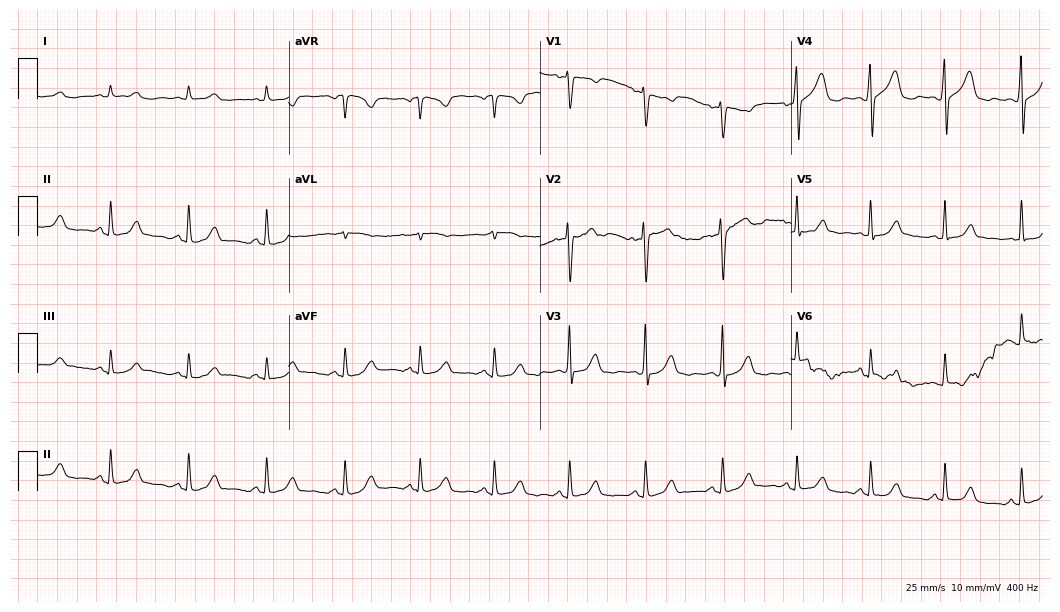
Resting 12-lead electrocardiogram (10.2-second recording at 400 Hz). Patient: a female, 49 years old. Read as a normal ECG.